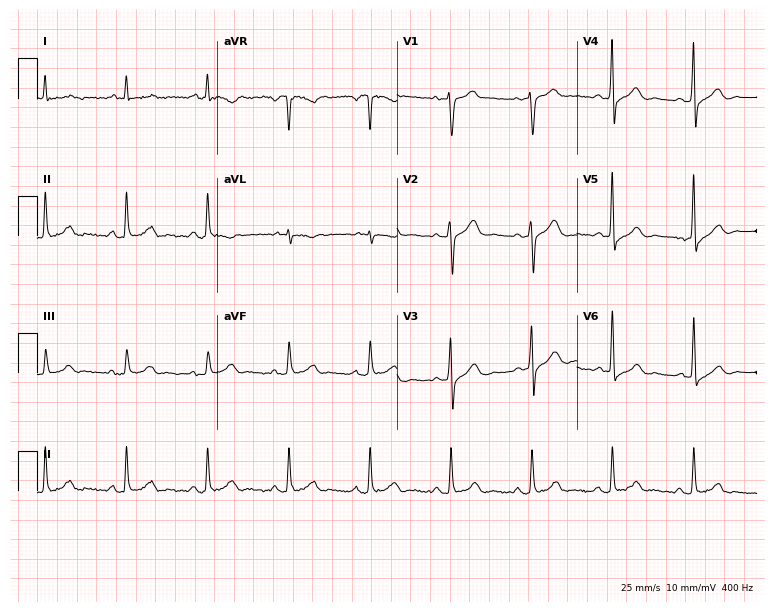
12-lead ECG from a 61-year-old male. No first-degree AV block, right bundle branch block, left bundle branch block, sinus bradycardia, atrial fibrillation or sinus tachycardia recorded for this tracing. Findings outside these six are not listed.